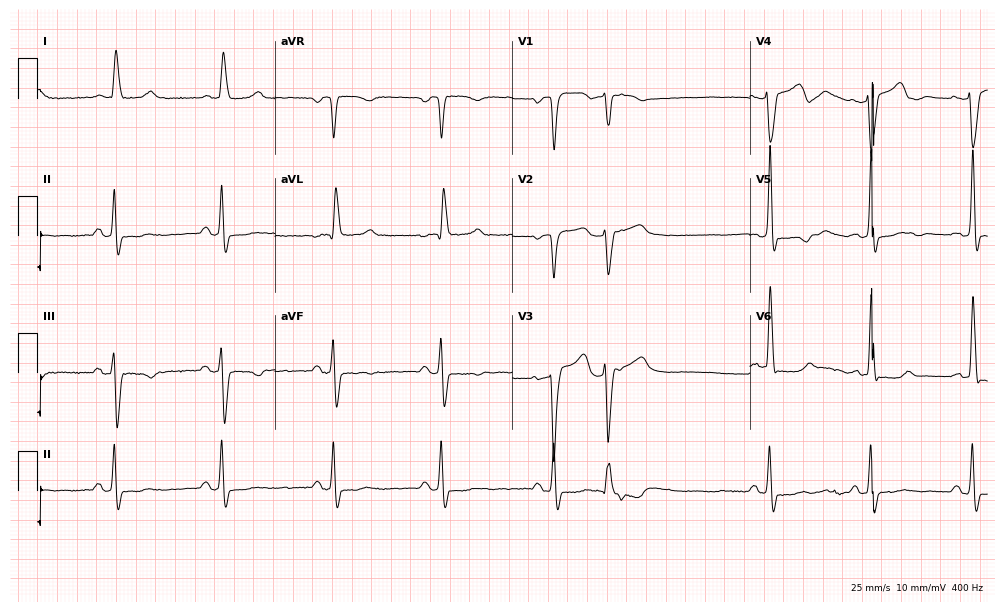
12-lead ECG (9.7-second recording at 400 Hz) from a woman, 79 years old. Screened for six findings — first-degree AV block, right bundle branch block (RBBB), left bundle branch block (LBBB), sinus bradycardia, atrial fibrillation (AF), sinus tachycardia — none is recorded. Other findings, if any, are not listed.